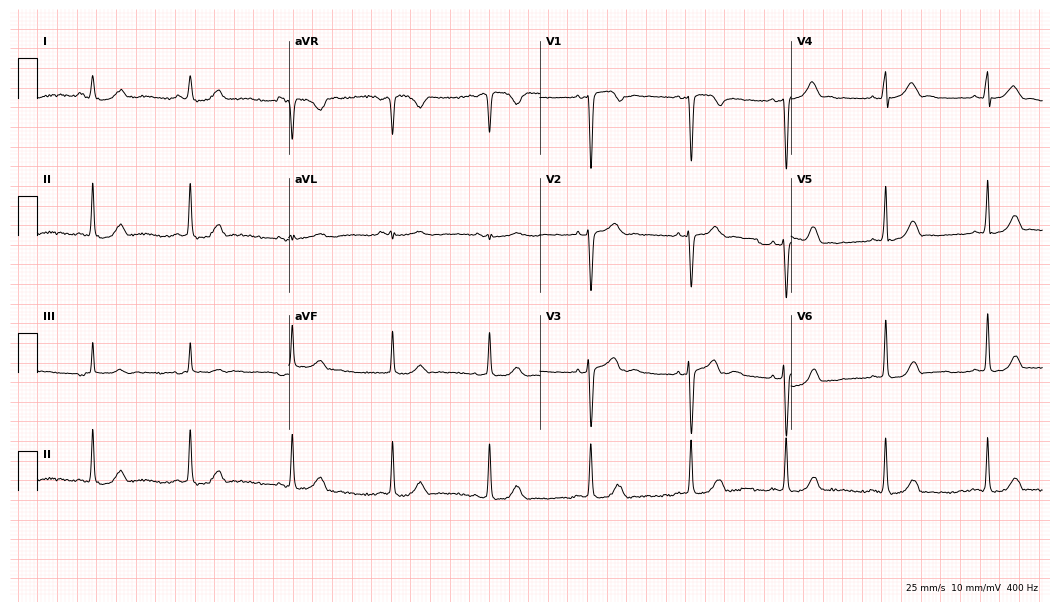
Electrocardiogram (10.2-second recording at 400 Hz), a woman, 27 years old. Overall reading on record: normal ECG.